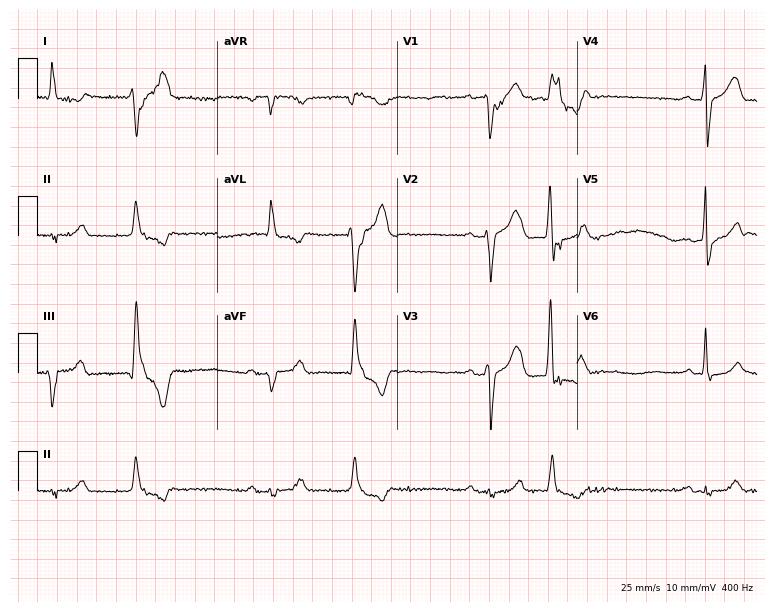
12-lead ECG from a male, 78 years old. Shows first-degree AV block, left bundle branch block.